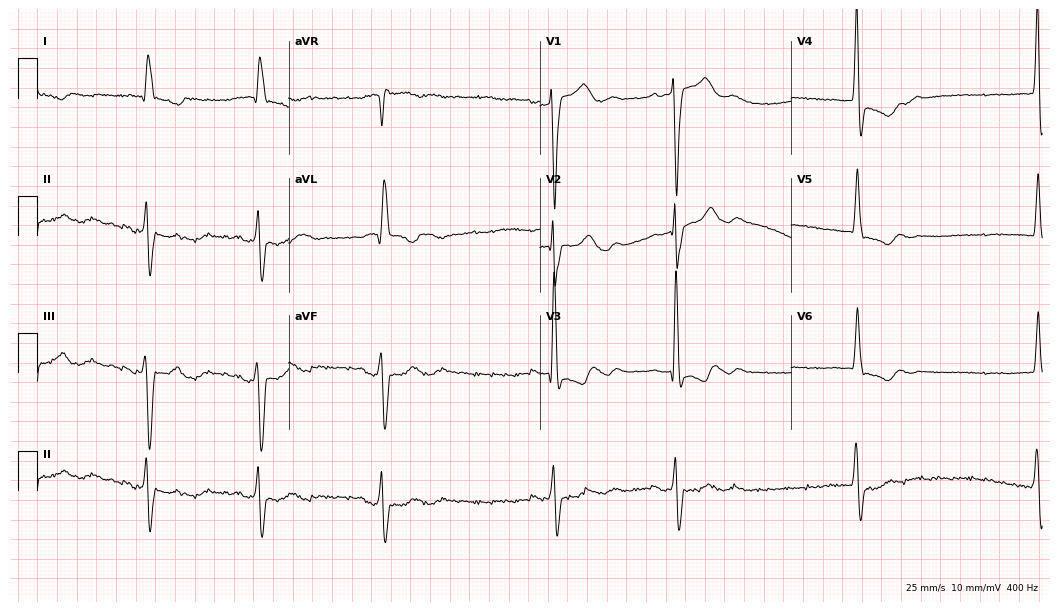
12-lead ECG from an 85-year-old female patient. Shows left bundle branch block (LBBB).